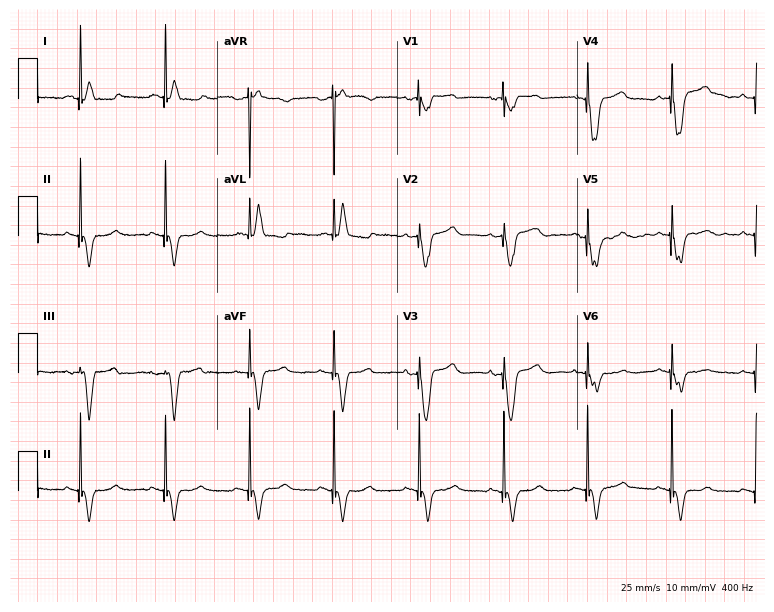
12-lead ECG from a male, 65 years old (7.3-second recording at 400 Hz). No first-degree AV block, right bundle branch block (RBBB), left bundle branch block (LBBB), sinus bradycardia, atrial fibrillation (AF) or sinus tachycardia recorded for this tracing. Only these six findings were labelled.